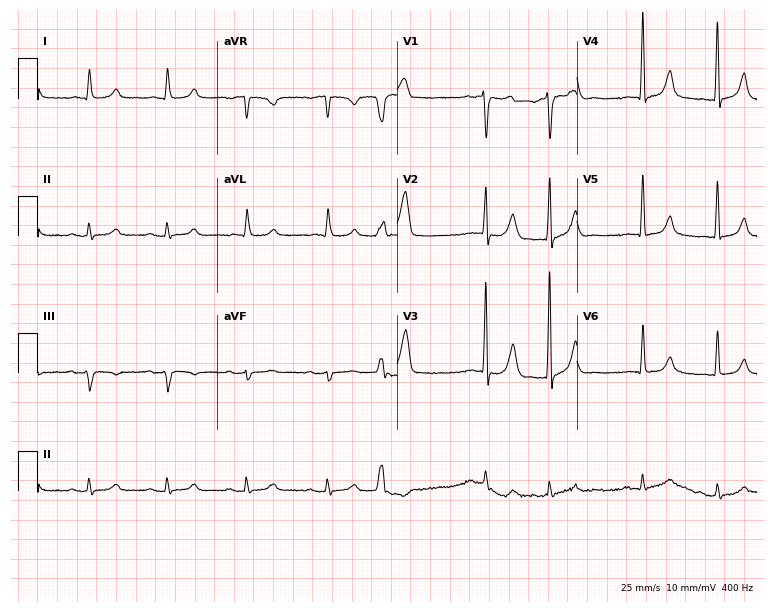
12-lead ECG from a female, 79 years old (7.3-second recording at 400 Hz). No first-degree AV block, right bundle branch block, left bundle branch block, sinus bradycardia, atrial fibrillation or sinus tachycardia recorded for this tracing.